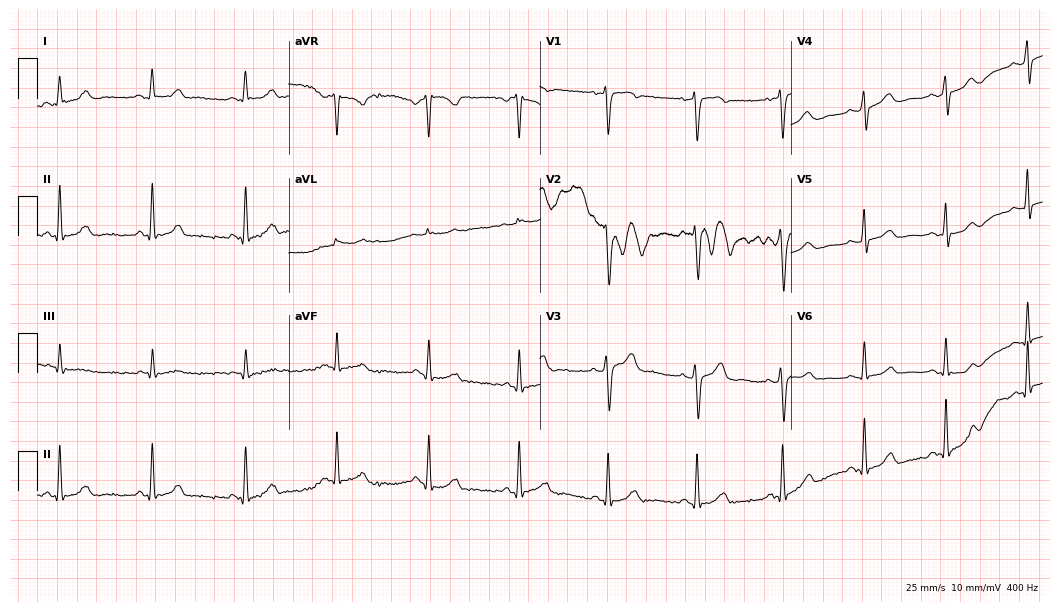
Electrocardiogram, a male patient, 51 years old. Of the six screened findings (first-degree AV block, right bundle branch block (RBBB), left bundle branch block (LBBB), sinus bradycardia, atrial fibrillation (AF), sinus tachycardia), none is recorded.